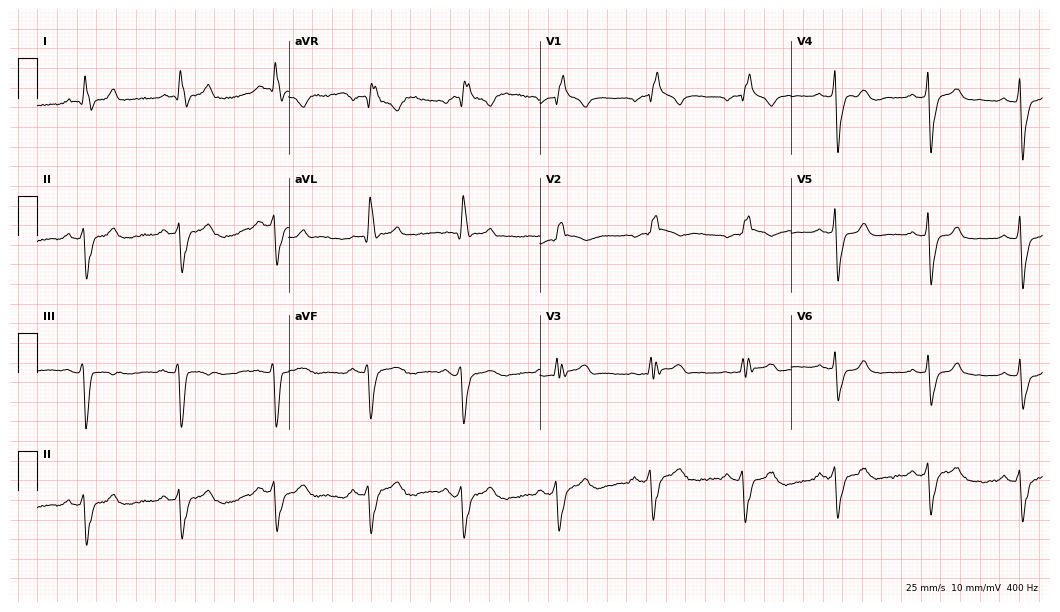
Electrocardiogram (10.2-second recording at 400 Hz), a male patient, 70 years old. Interpretation includes right bundle branch block (RBBB).